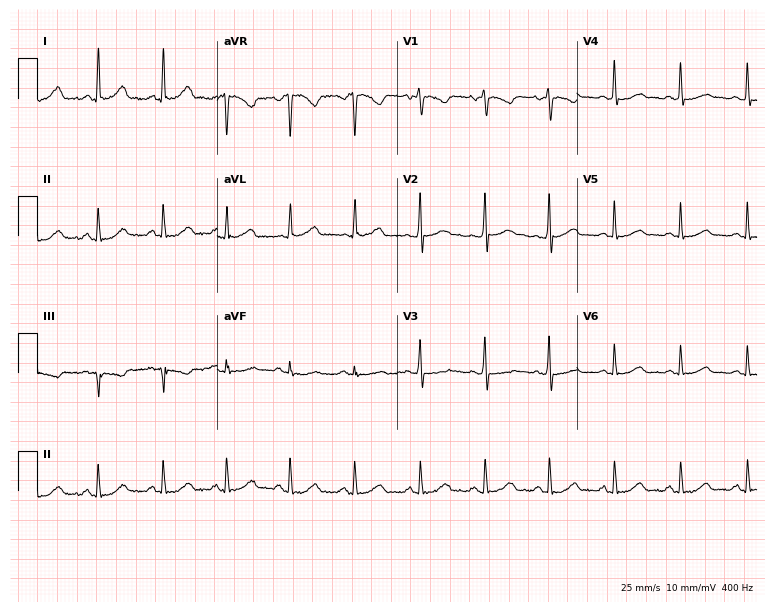
12-lead ECG (7.3-second recording at 400 Hz) from a 39-year-old woman. Labelled as a normal ECG.